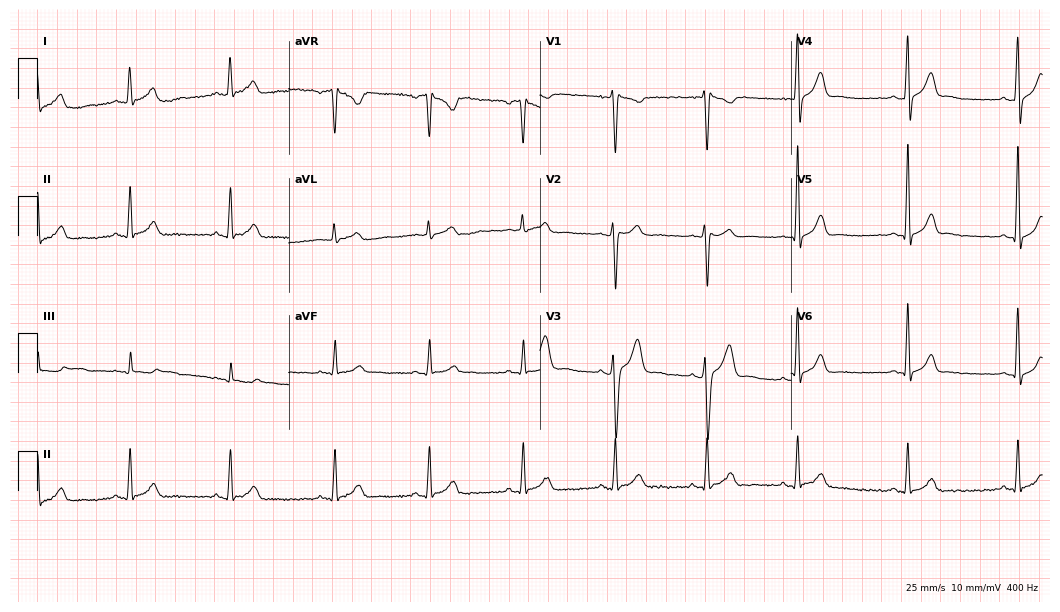
ECG — a male patient, 19 years old. Labelled as a normal ECG.